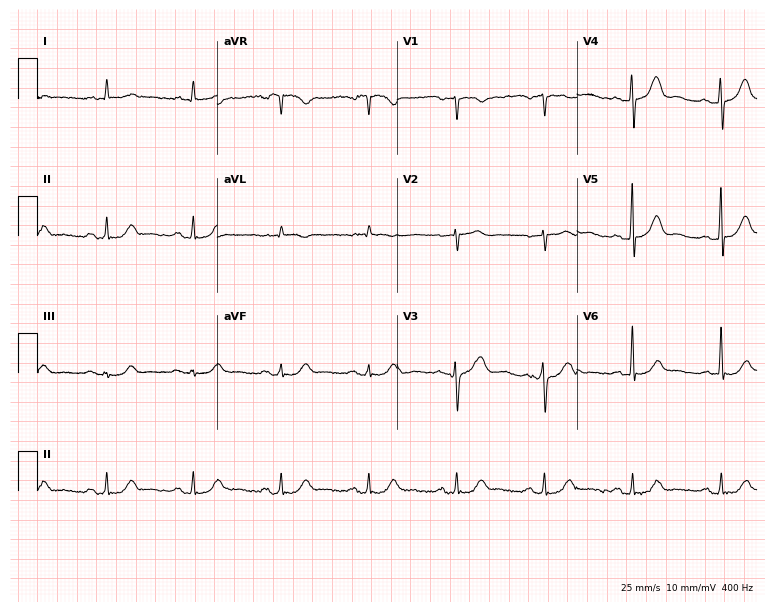
Resting 12-lead electrocardiogram (7.3-second recording at 400 Hz). Patient: an 84-year-old man. Read as a normal ECG.